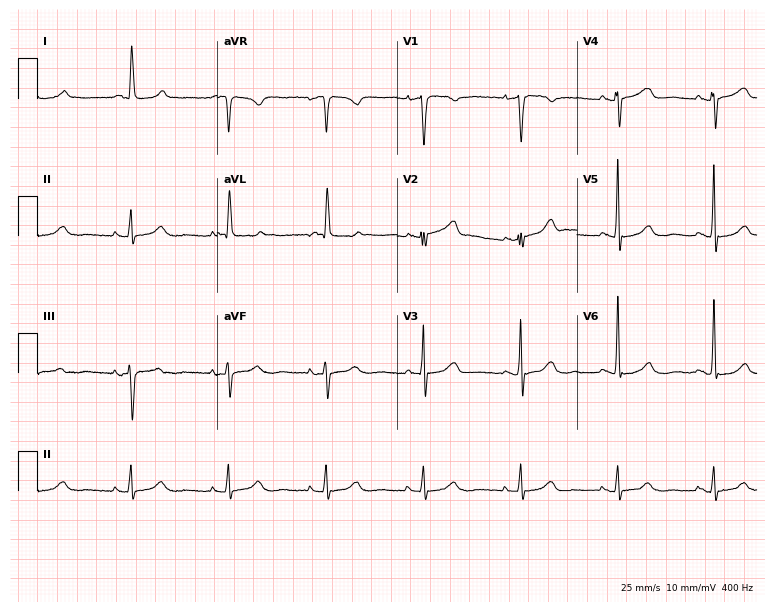
12-lead ECG from a female, 85 years old. Screened for six findings — first-degree AV block, right bundle branch block, left bundle branch block, sinus bradycardia, atrial fibrillation, sinus tachycardia — none is recorded.